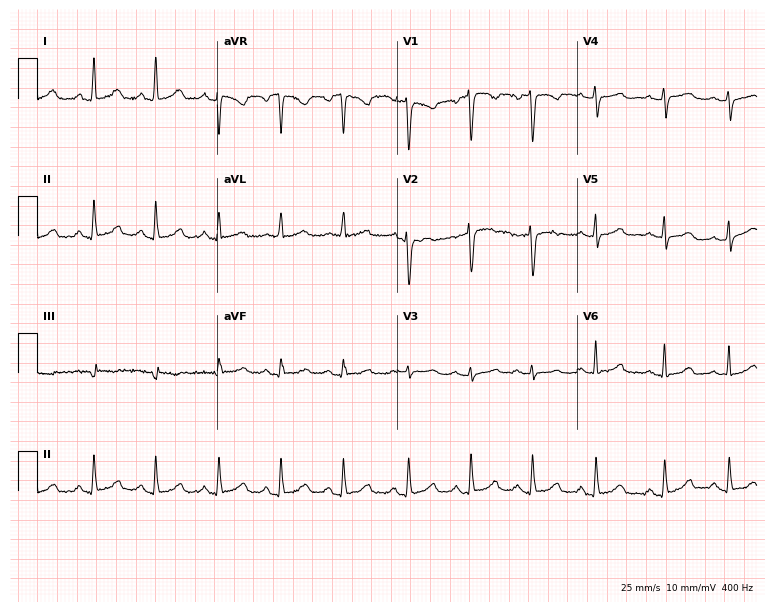
12-lead ECG from a woman, 52 years old. Recorded interpretation: within normal limits.